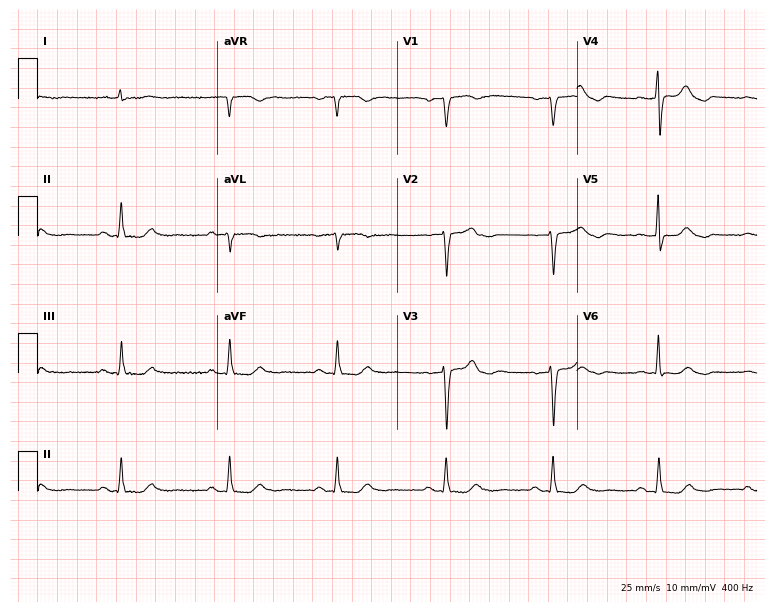
Standard 12-lead ECG recorded from a 79-year-old woman. None of these six findings is recorded: first-degree AV block, right bundle branch block, left bundle branch block, sinus bradycardia, atrial fibrillation, sinus tachycardia. Other findings, if any, are not listed.